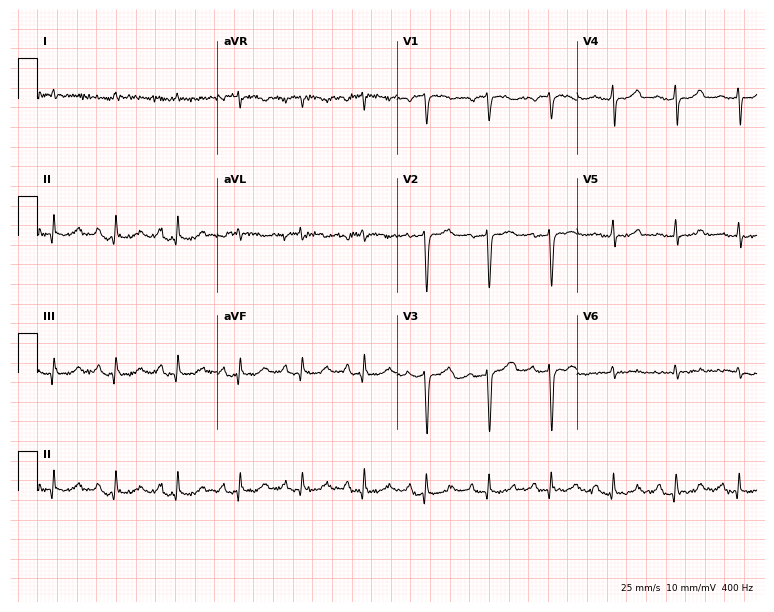
12-lead ECG (7.3-second recording at 400 Hz) from a male patient, 82 years old. Labelled as a normal ECG.